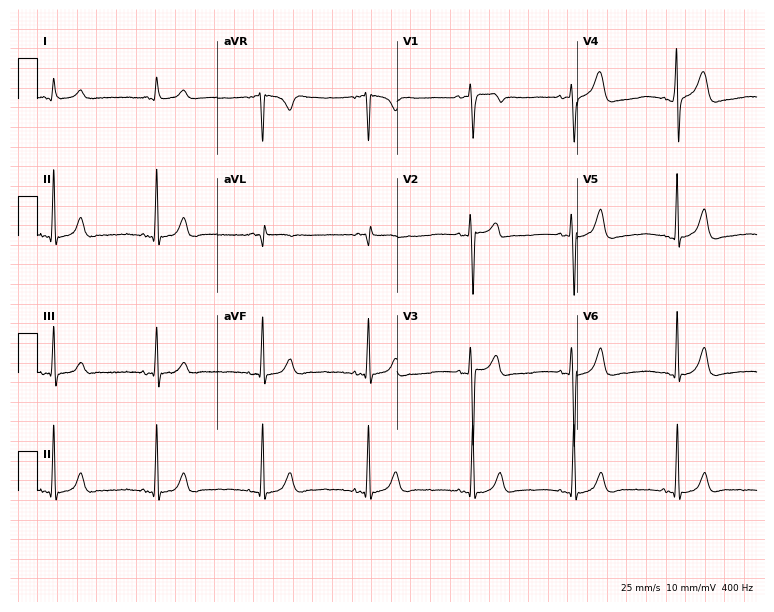
12-lead ECG from a 37-year-old male. Recorded interpretation: within normal limits.